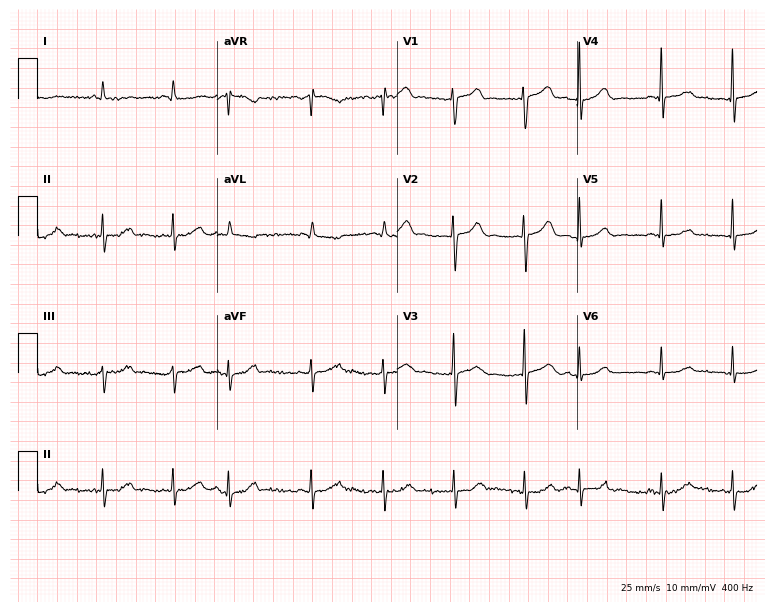
Electrocardiogram, a 74-year-old female. Of the six screened findings (first-degree AV block, right bundle branch block, left bundle branch block, sinus bradycardia, atrial fibrillation, sinus tachycardia), none is recorded. Findings outside these six are not listed.